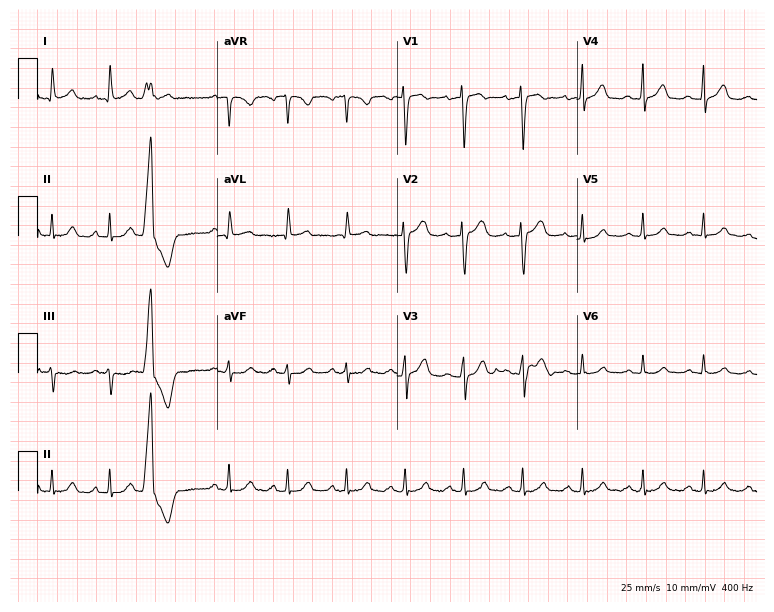
Resting 12-lead electrocardiogram. Patient: a female, 67 years old. None of these six findings is recorded: first-degree AV block, right bundle branch block, left bundle branch block, sinus bradycardia, atrial fibrillation, sinus tachycardia.